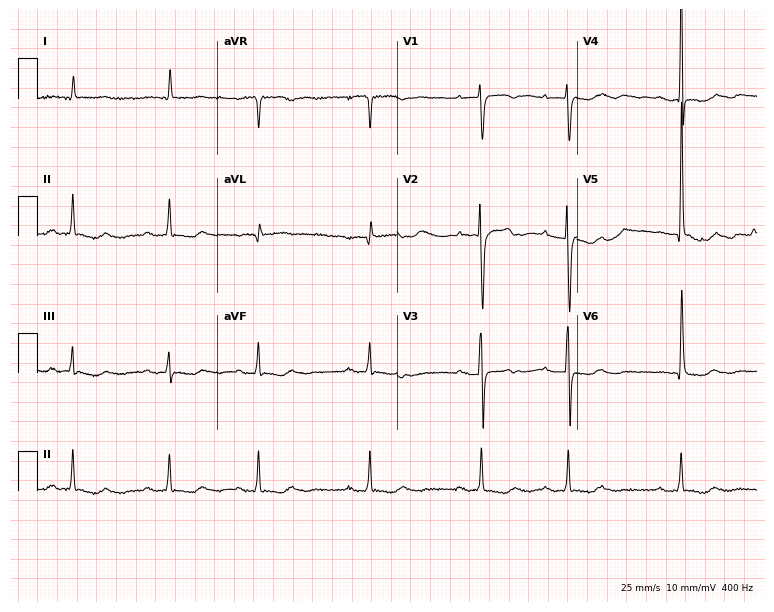
ECG (7.3-second recording at 400 Hz) — a female patient, 76 years old. Screened for six findings — first-degree AV block, right bundle branch block (RBBB), left bundle branch block (LBBB), sinus bradycardia, atrial fibrillation (AF), sinus tachycardia — none is recorded. Other findings, if any, are not listed.